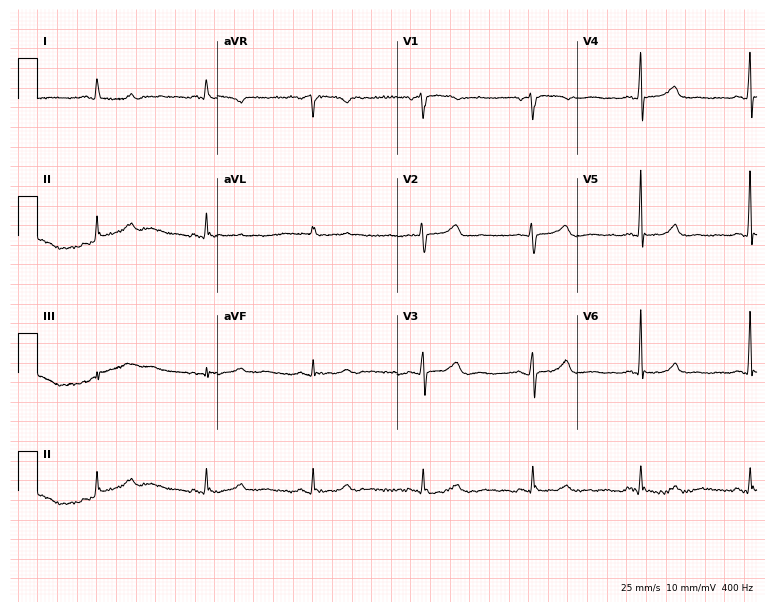
Resting 12-lead electrocardiogram. Patient: a 69-year-old woman. Read as a normal ECG.